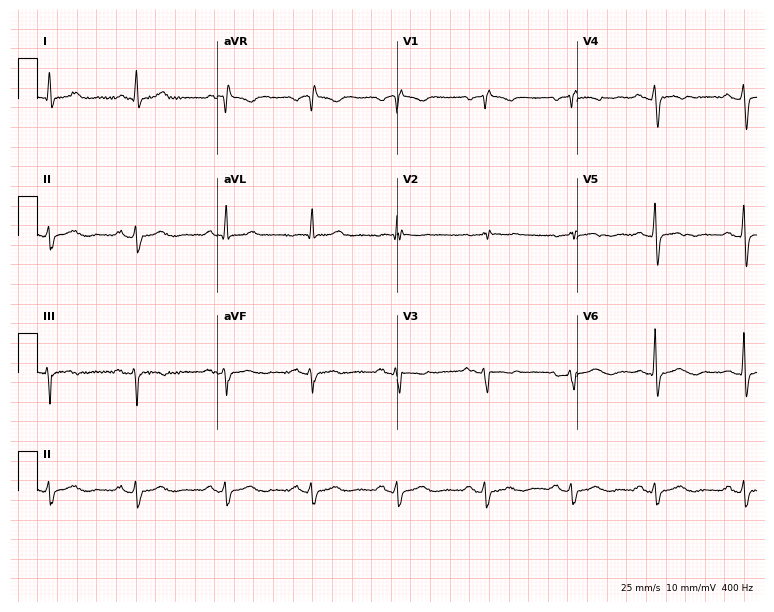
Standard 12-lead ECG recorded from a 55-year-old female patient (7.3-second recording at 400 Hz). None of these six findings is recorded: first-degree AV block, right bundle branch block, left bundle branch block, sinus bradycardia, atrial fibrillation, sinus tachycardia.